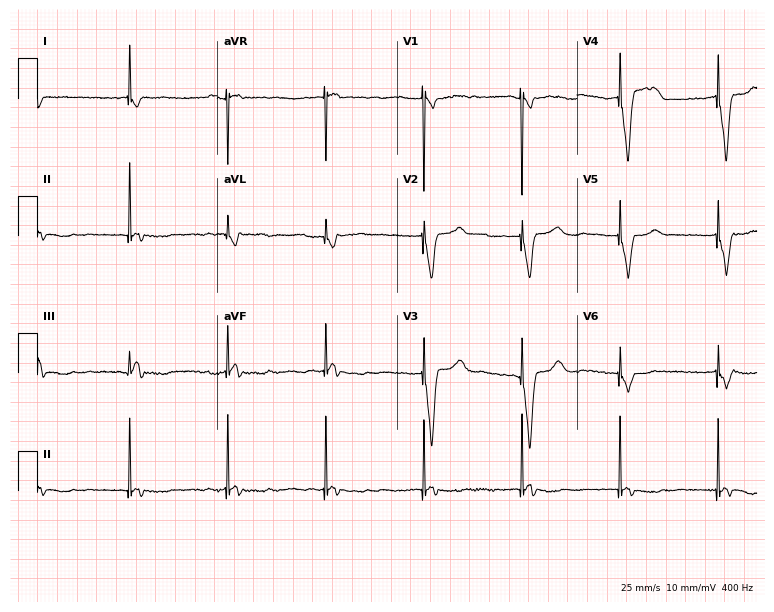
12-lead ECG from an 80-year-old male patient. Screened for six findings — first-degree AV block, right bundle branch block, left bundle branch block, sinus bradycardia, atrial fibrillation, sinus tachycardia — none is recorded.